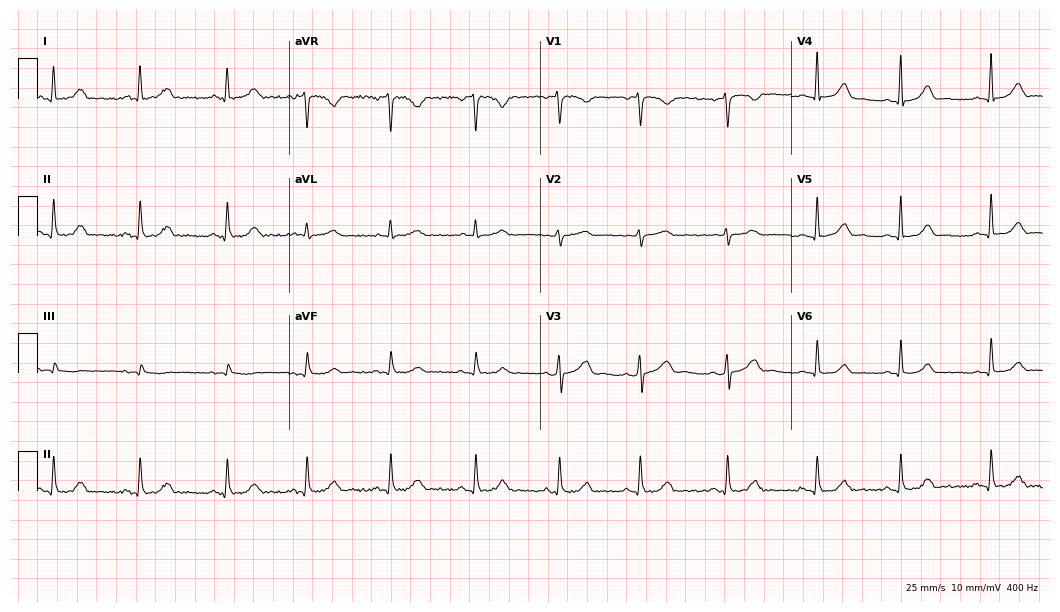
Electrocardiogram, a 35-year-old woman. Overall reading on record: normal ECG.